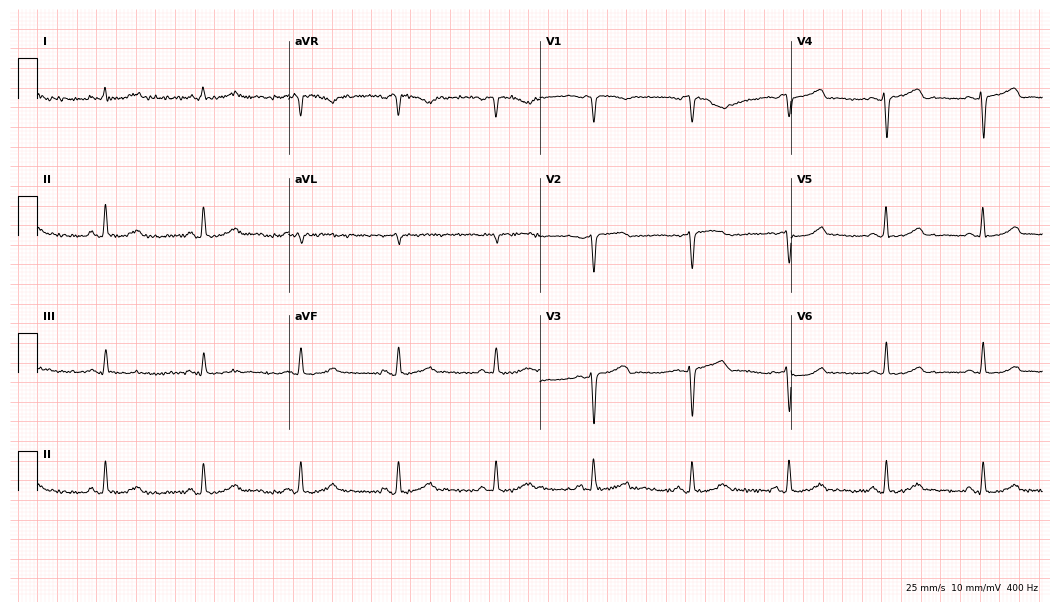
Standard 12-lead ECG recorded from a female patient, 70 years old (10.2-second recording at 400 Hz). Read as a normal ECG.